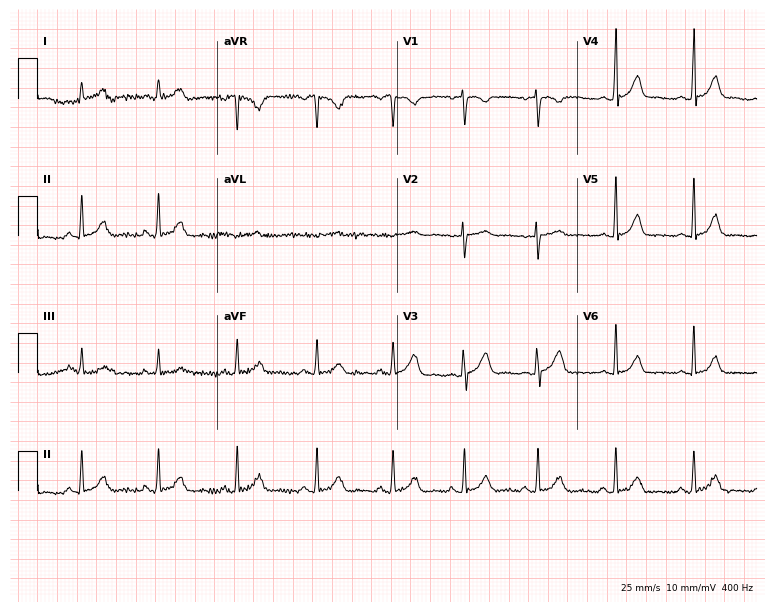
12-lead ECG from a 23-year-old man. No first-degree AV block, right bundle branch block, left bundle branch block, sinus bradycardia, atrial fibrillation or sinus tachycardia recorded for this tracing. Only these six findings were labelled.